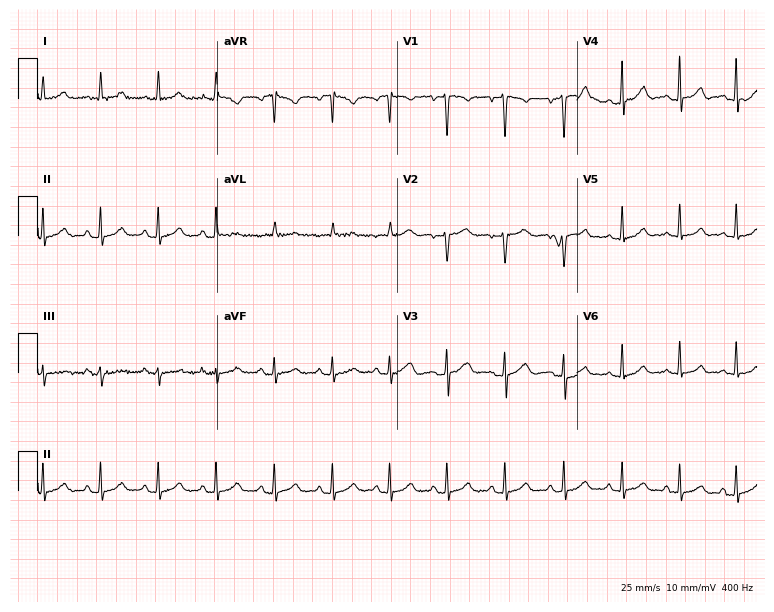
Standard 12-lead ECG recorded from a female patient, 26 years old (7.3-second recording at 400 Hz). The tracing shows sinus tachycardia (a sinus rate of 100 beats per minute or more).